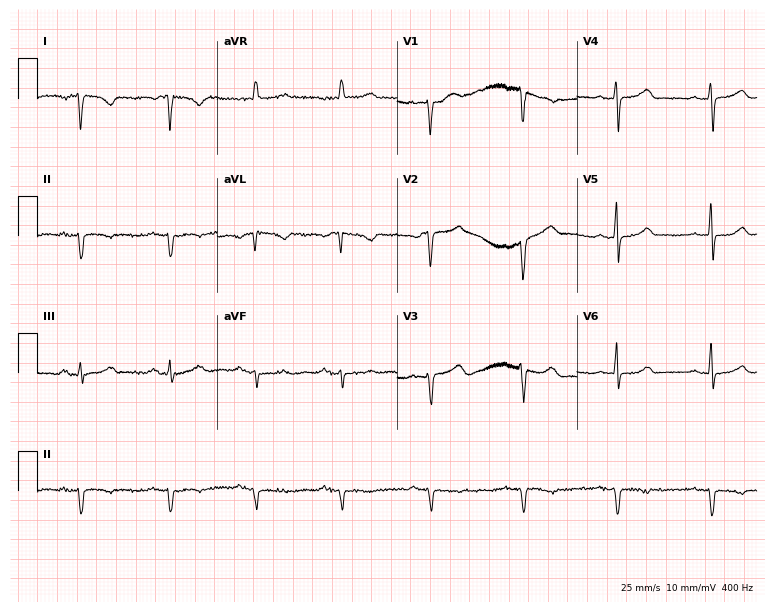
12-lead ECG (7.3-second recording at 400 Hz) from a 68-year-old woman. Screened for six findings — first-degree AV block, right bundle branch block, left bundle branch block, sinus bradycardia, atrial fibrillation, sinus tachycardia — none is recorded. Only these six findings were labelled.